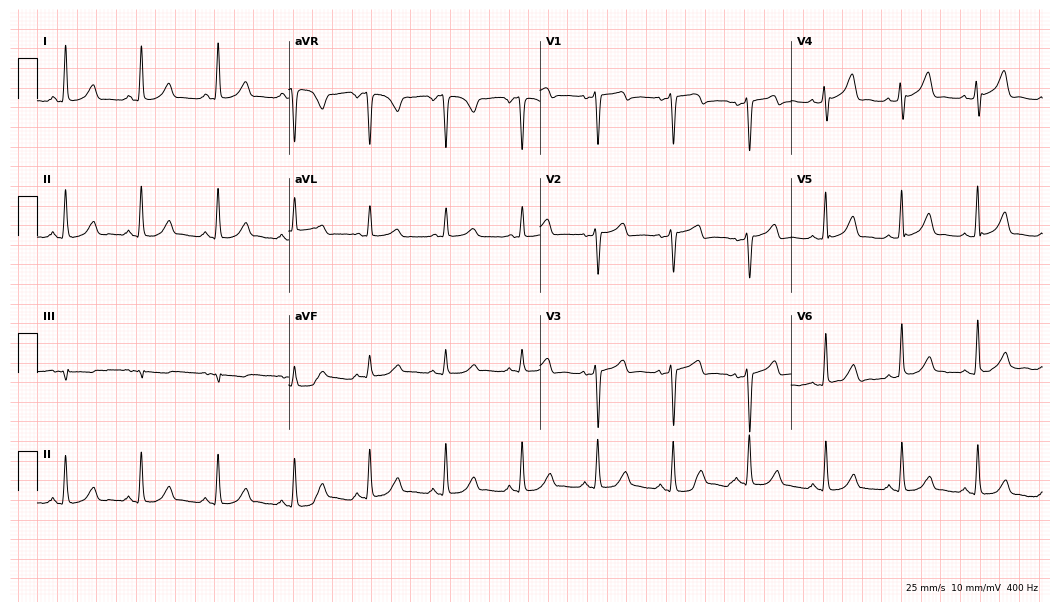
ECG — a female, 41 years old. Labelled as a normal ECG.